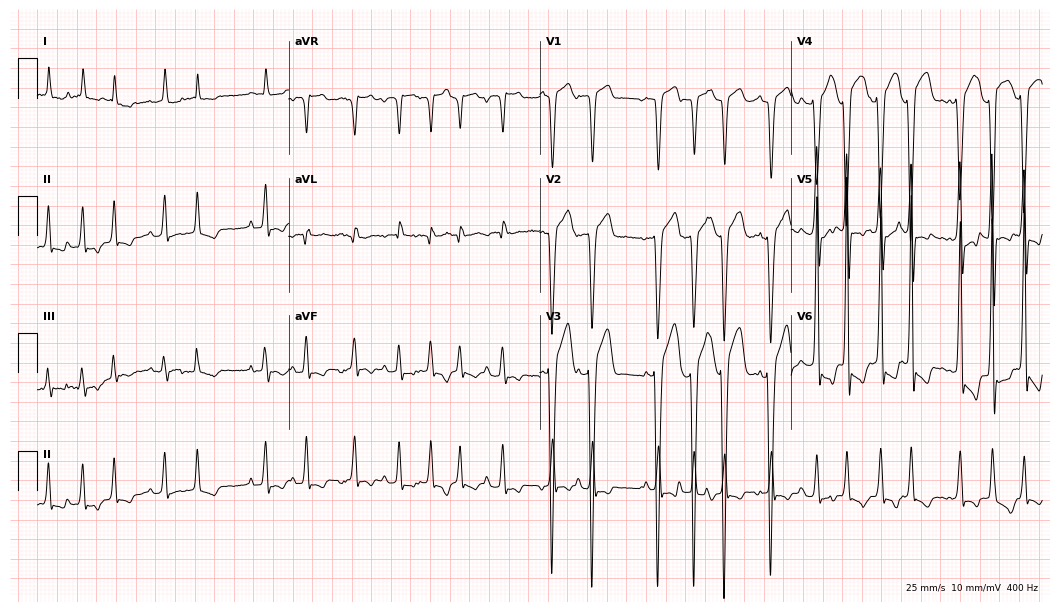
Resting 12-lead electrocardiogram. Patient: a male, 66 years old. The tracing shows atrial fibrillation (AF).